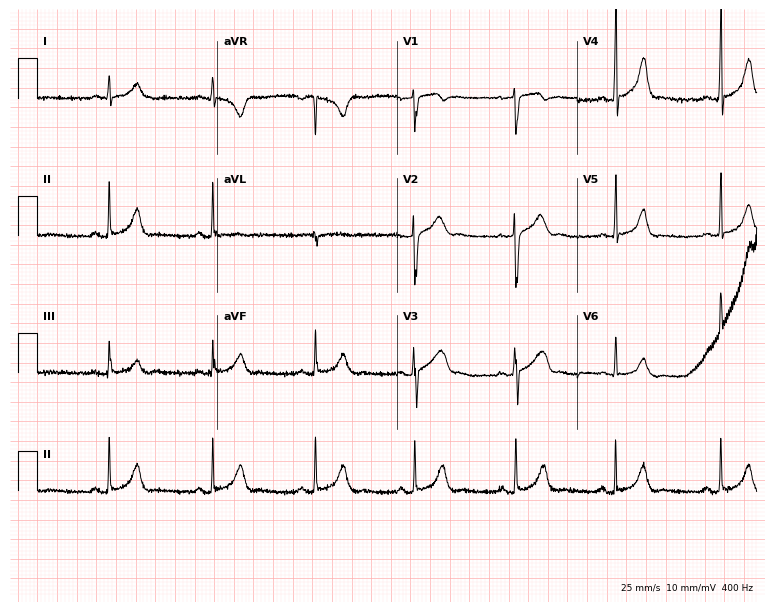
Electrocardiogram, a man, 35 years old. Of the six screened findings (first-degree AV block, right bundle branch block (RBBB), left bundle branch block (LBBB), sinus bradycardia, atrial fibrillation (AF), sinus tachycardia), none is recorded. Only these six findings were labelled.